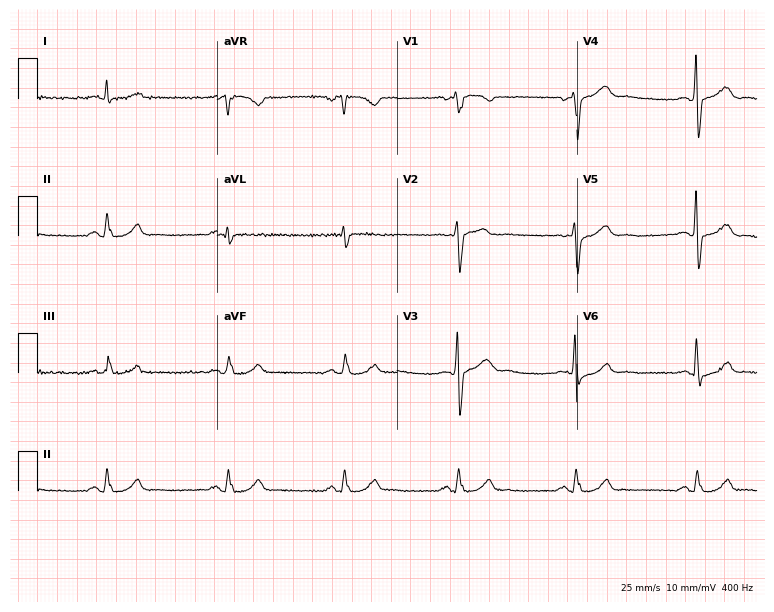
Resting 12-lead electrocardiogram (7.3-second recording at 400 Hz). Patient: a 51-year-old male. Read as a normal ECG.